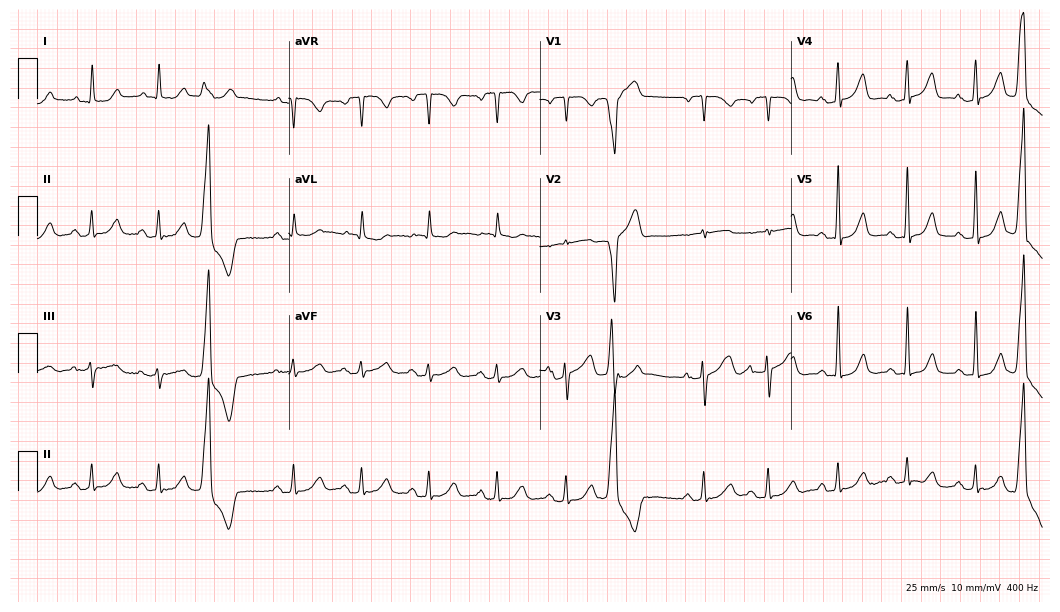
12-lead ECG from a woman, 71 years old. Screened for six findings — first-degree AV block, right bundle branch block, left bundle branch block, sinus bradycardia, atrial fibrillation, sinus tachycardia — none is recorded.